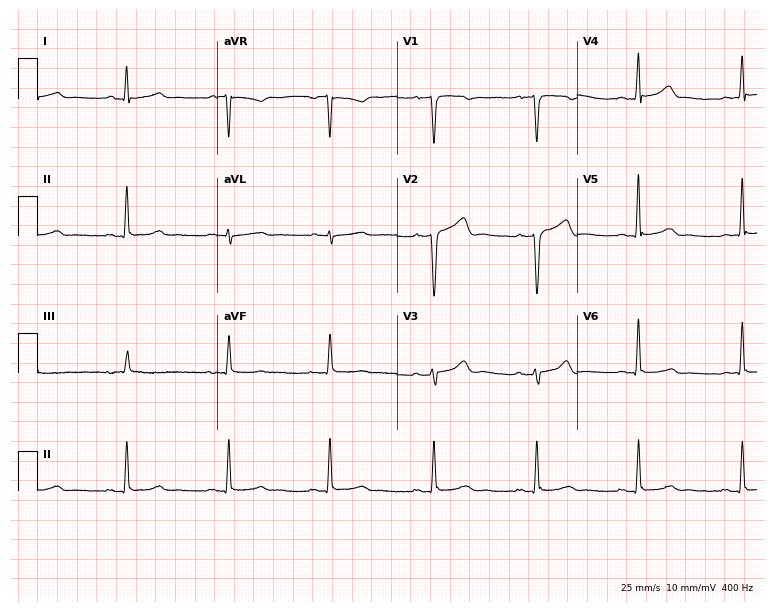
ECG (7.3-second recording at 400 Hz) — a 41-year-old man. Labelled as a normal ECG.